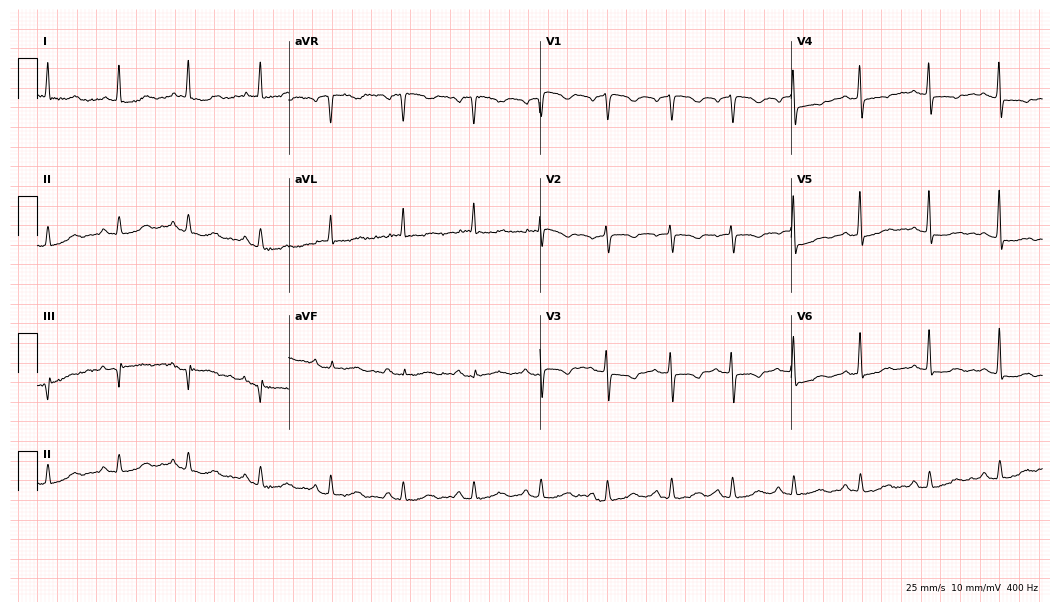
ECG (10.2-second recording at 400 Hz) — a woman, 81 years old. Screened for six findings — first-degree AV block, right bundle branch block, left bundle branch block, sinus bradycardia, atrial fibrillation, sinus tachycardia — none is recorded. Other findings, if any, are not listed.